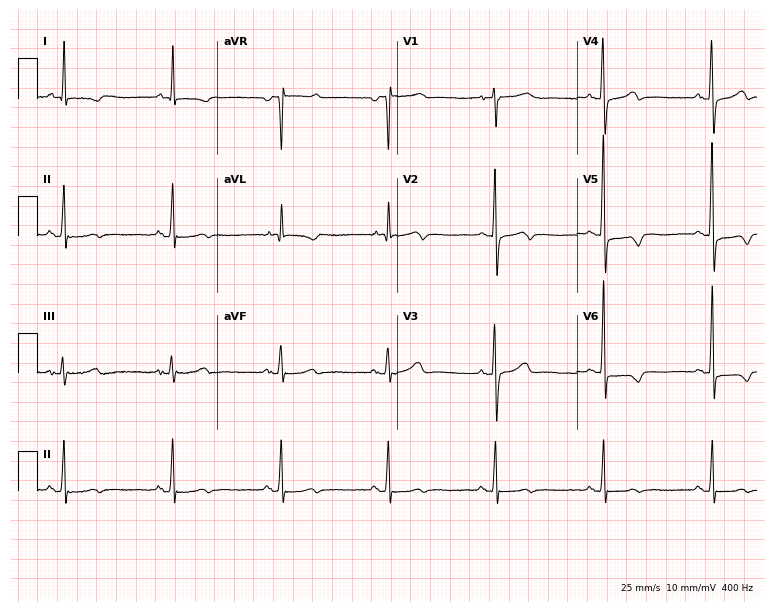
ECG — a 75-year-old female. Screened for six findings — first-degree AV block, right bundle branch block, left bundle branch block, sinus bradycardia, atrial fibrillation, sinus tachycardia — none is recorded.